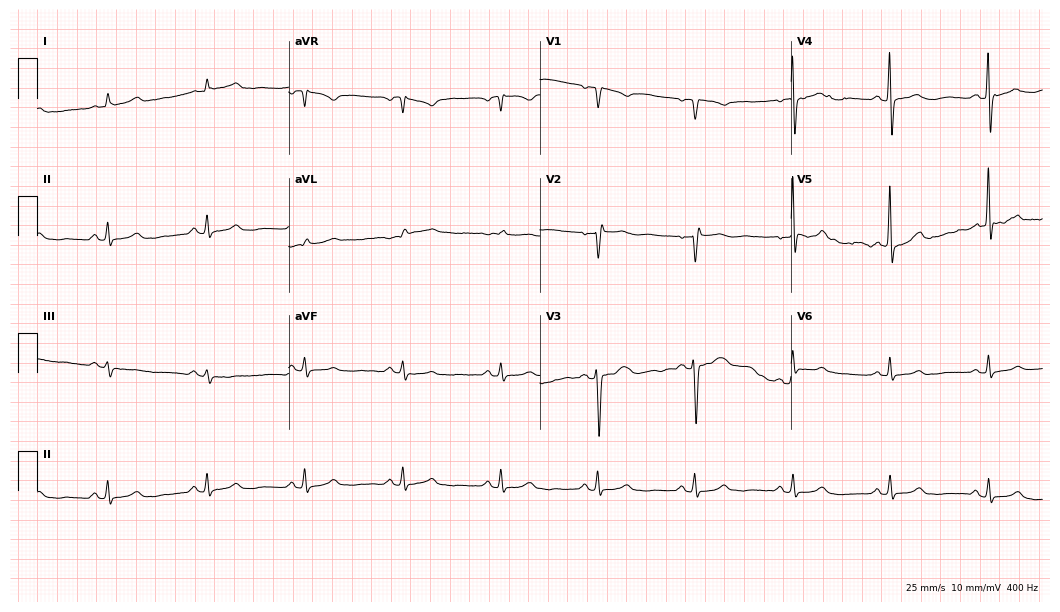
12-lead ECG from a man, 80 years old. Labelled as a normal ECG.